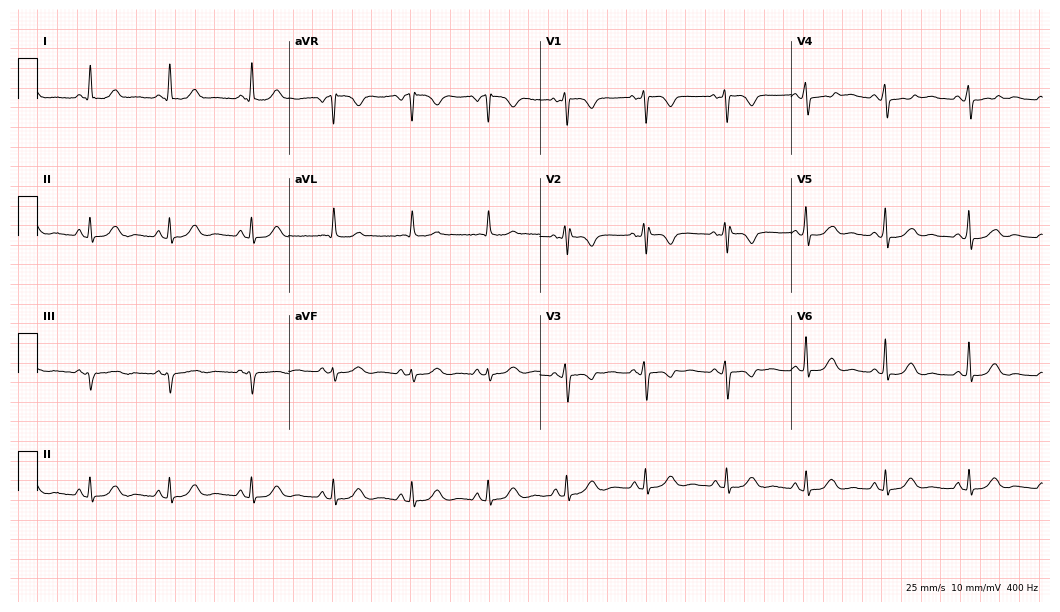
12-lead ECG (10.2-second recording at 400 Hz) from a 63-year-old woman. Screened for six findings — first-degree AV block, right bundle branch block, left bundle branch block, sinus bradycardia, atrial fibrillation, sinus tachycardia — none is recorded.